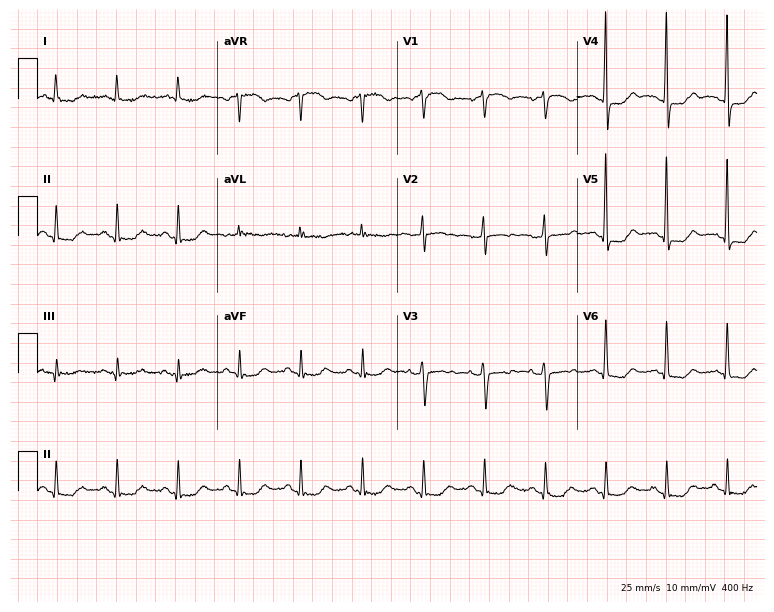
12-lead ECG from a 71-year-old male patient (7.3-second recording at 400 Hz). No first-degree AV block, right bundle branch block (RBBB), left bundle branch block (LBBB), sinus bradycardia, atrial fibrillation (AF) or sinus tachycardia recorded for this tracing. Only these six findings were labelled.